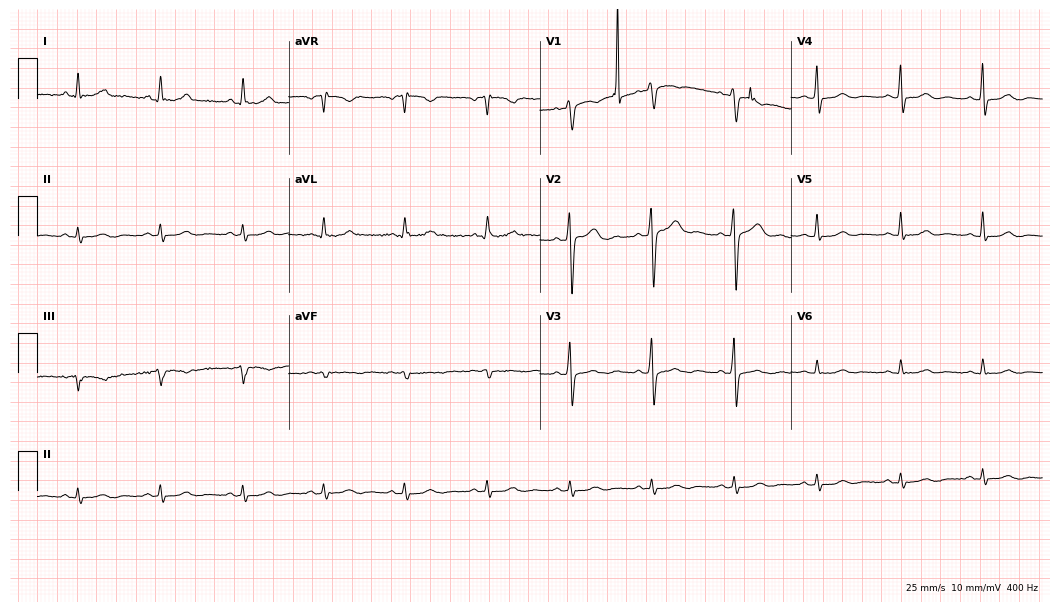
12-lead ECG (10.2-second recording at 400 Hz) from a 52-year-old female. Labelled as a normal ECG.